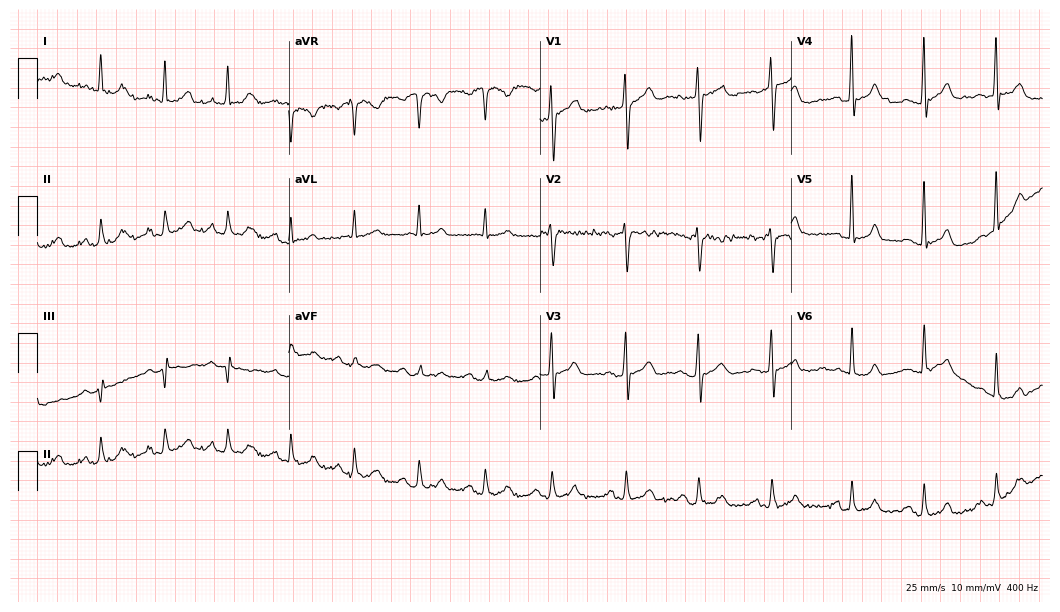
12-lead ECG (10.2-second recording at 400 Hz) from a man, 56 years old. Labelled as a normal ECG.